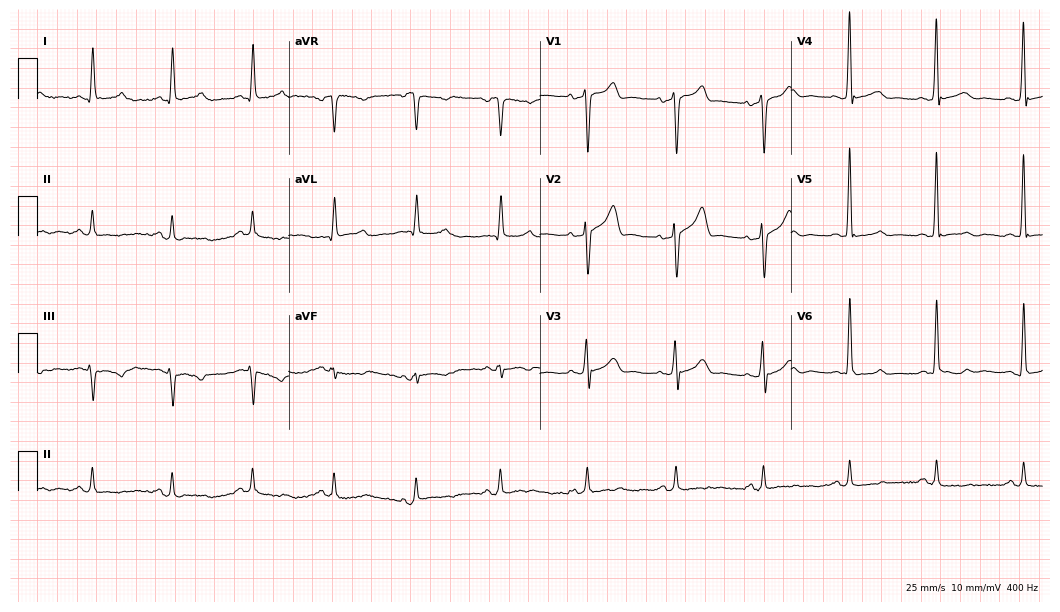
ECG (10.2-second recording at 400 Hz) — a male patient, 60 years old. Screened for six findings — first-degree AV block, right bundle branch block (RBBB), left bundle branch block (LBBB), sinus bradycardia, atrial fibrillation (AF), sinus tachycardia — none is recorded. Findings outside these six are not listed.